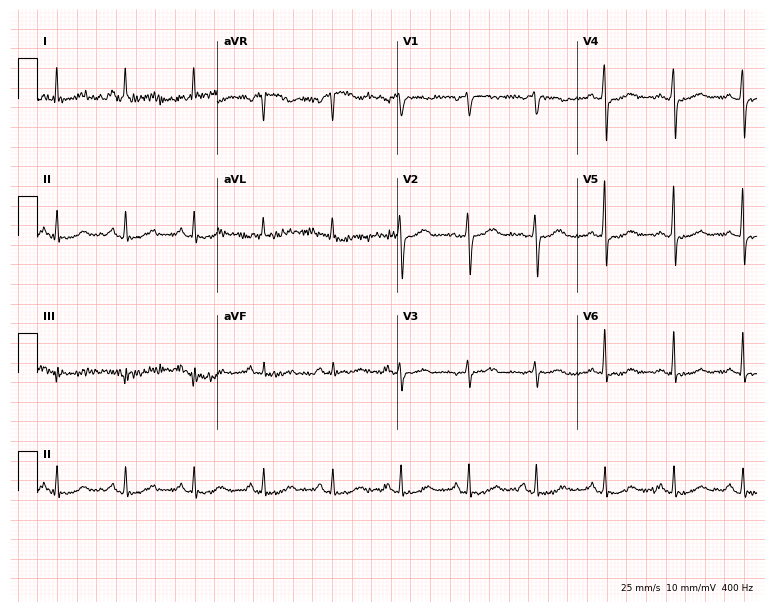
Standard 12-lead ECG recorded from a 64-year-old female (7.3-second recording at 400 Hz). Read as a normal ECG.